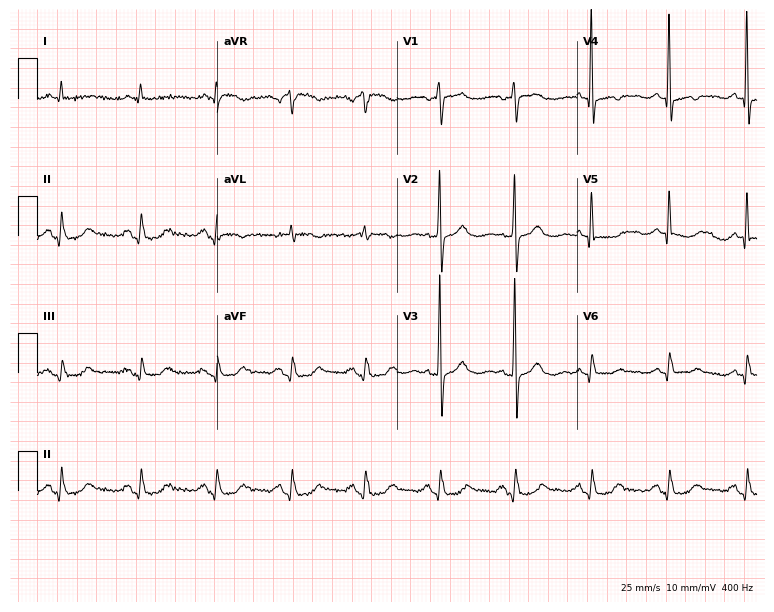
12-lead ECG from a 79-year-old man (7.3-second recording at 400 Hz). No first-degree AV block, right bundle branch block, left bundle branch block, sinus bradycardia, atrial fibrillation or sinus tachycardia recorded for this tracing.